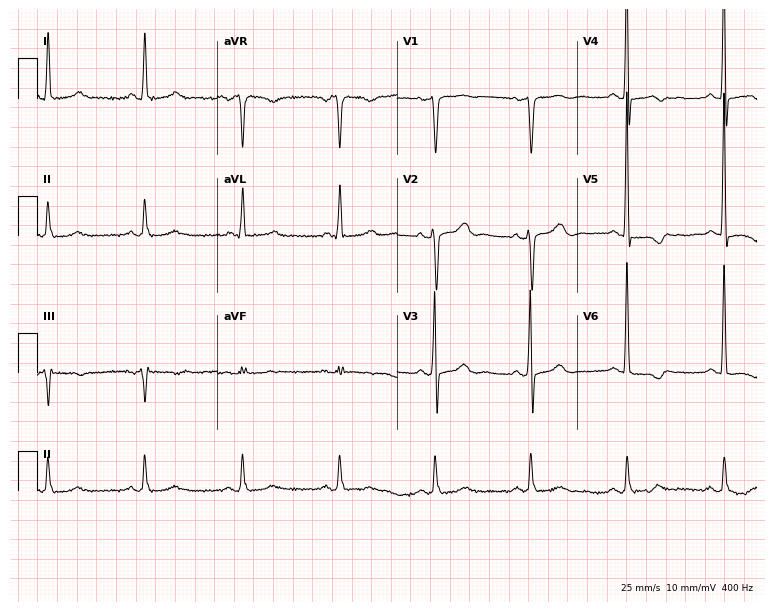
ECG — a female patient, 60 years old. Labelled as a normal ECG.